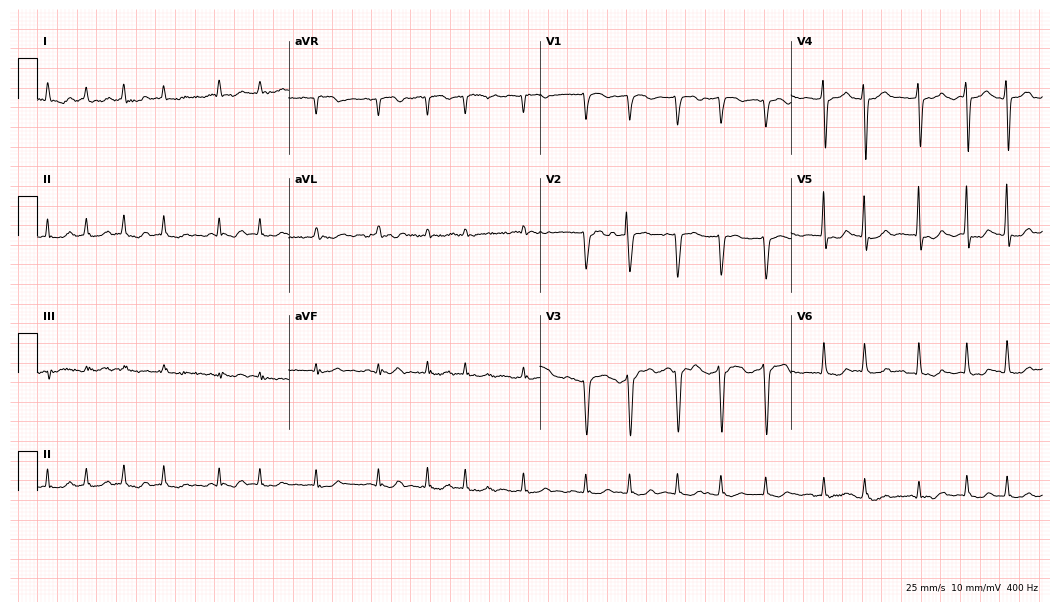
12-lead ECG from a 75-year-old female. Shows atrial fibrillation.